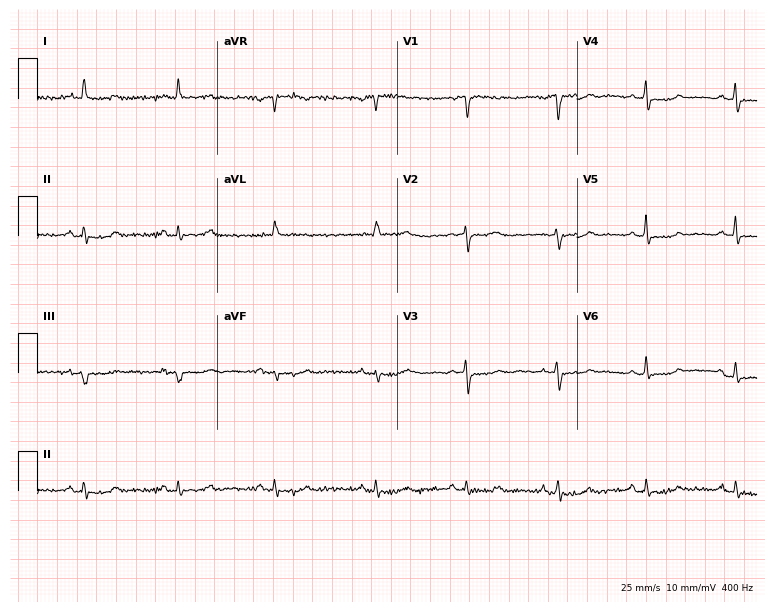
ECG (7.3-second recording at 400 Hz) — a woman, 62 years old. Screened for six findings — first-degree AV block, right bundle branch block, left bundle branch block, sinus bradycardia, atrial fibrillation, sinus tachycardia — none is recorded. Only these six findings were labelled.